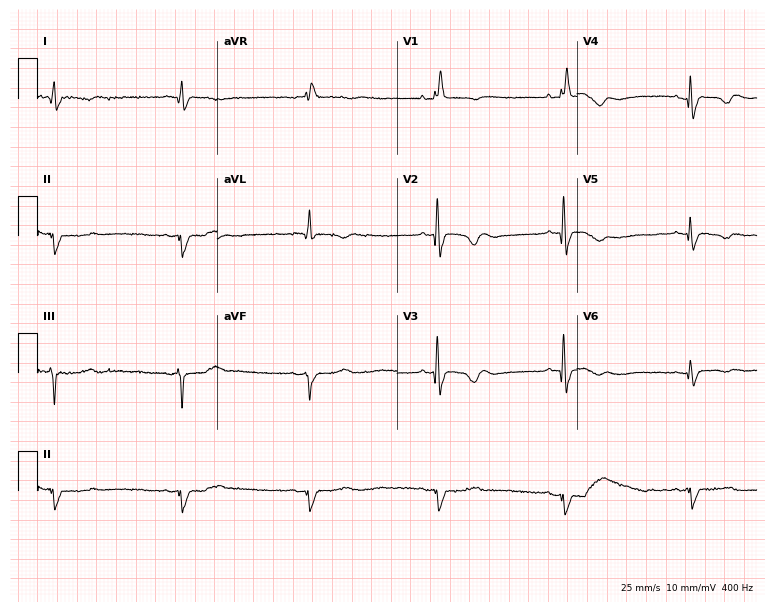
Resting 12-lead electrocardiogram. Patient: a female, 70 years old. The tracing shows right bundle branch block, sinus bradycardia (a sinus rate of 50 beats per minute or less).